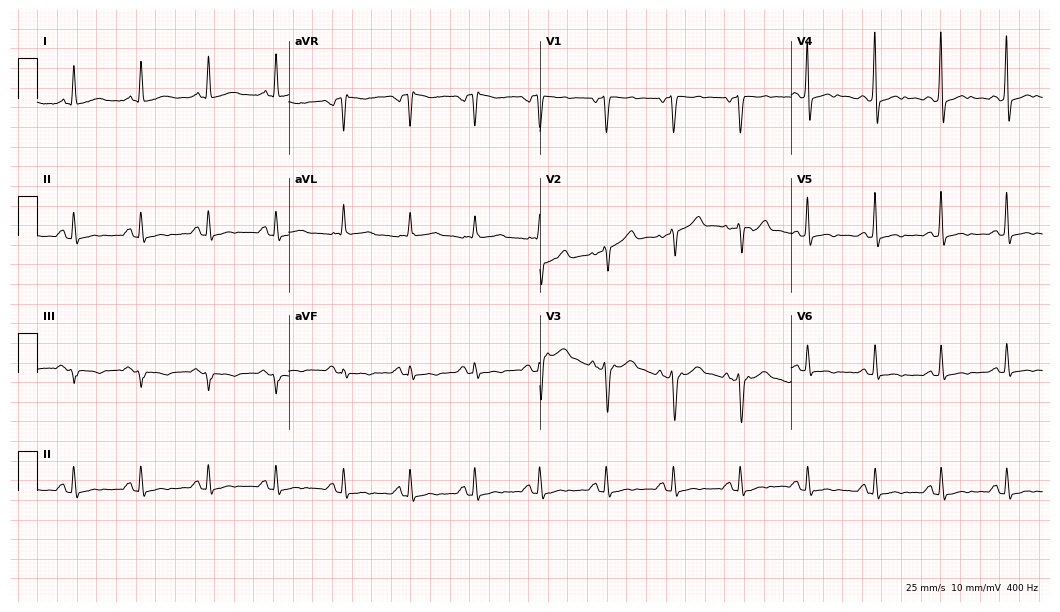
12-lead ECG from a woman, 63 years old. No first-degree AV block, right bundle branch block, left bundle branch block, sinus bradycardia, atrial fibrillation or sinus tachycardia recorded for this tracing.